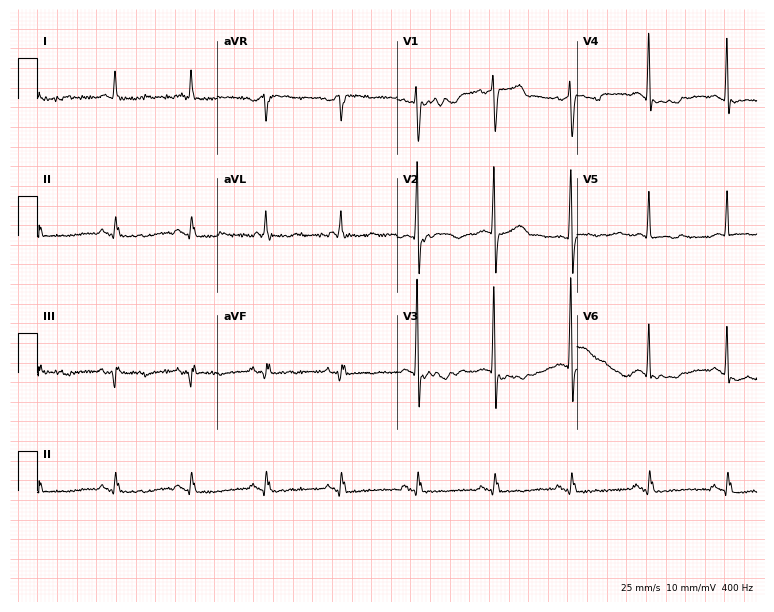
12-lead ECG from a man, 83 years old. Screened for six findings — first-degree AV block, right bundle branch block, left bundle branch block, sinus bradycardia, atrial fibrillation, sinus tachycardia — none is recorded. Other findings, if any, are not listed.